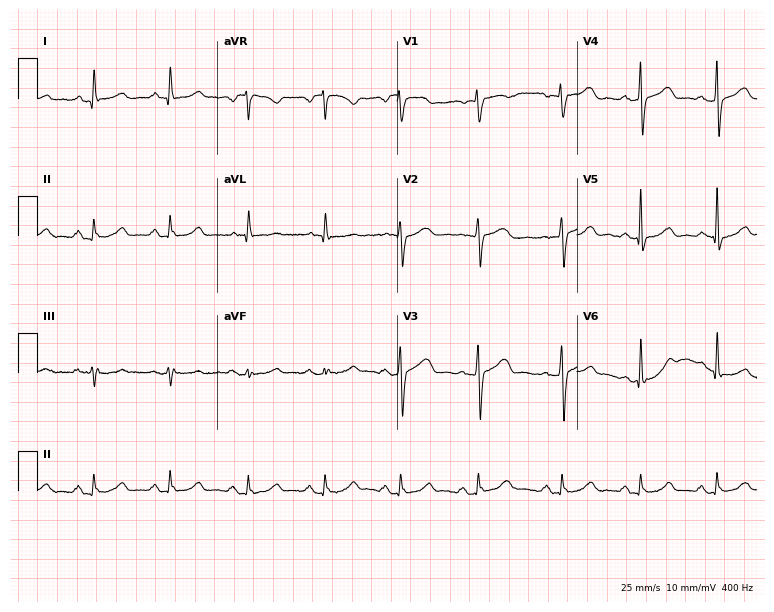
12-lead ECG from a woman, 50 years old. Recorded interpretation: within normal limits.